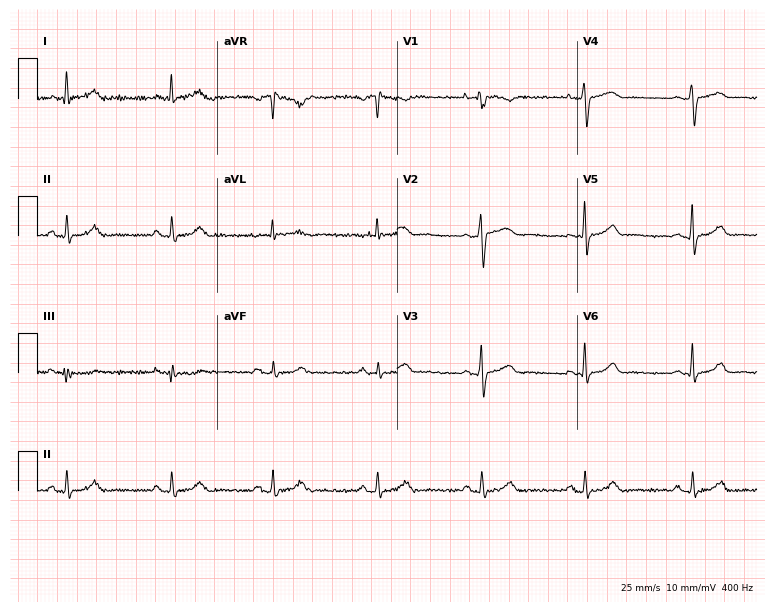
Resting 12-lead electrocardiogram. Patient: a 37-year-old woman. Read as a normal ECG.